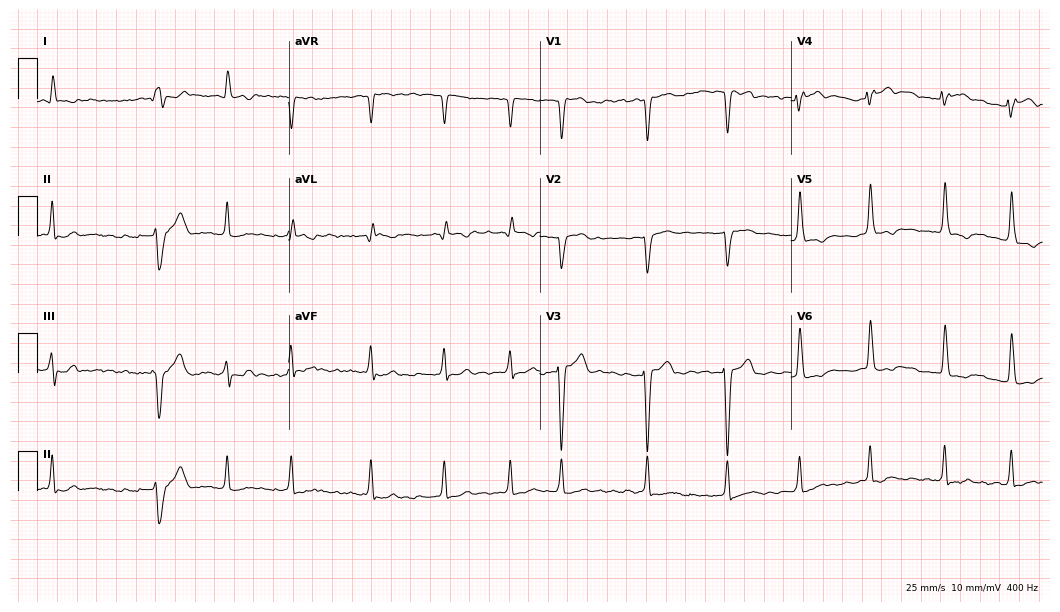
Resting 12-lead electrocardiogram. Patient: a female, 81 years old. The tracing shows atrial fibrillation.